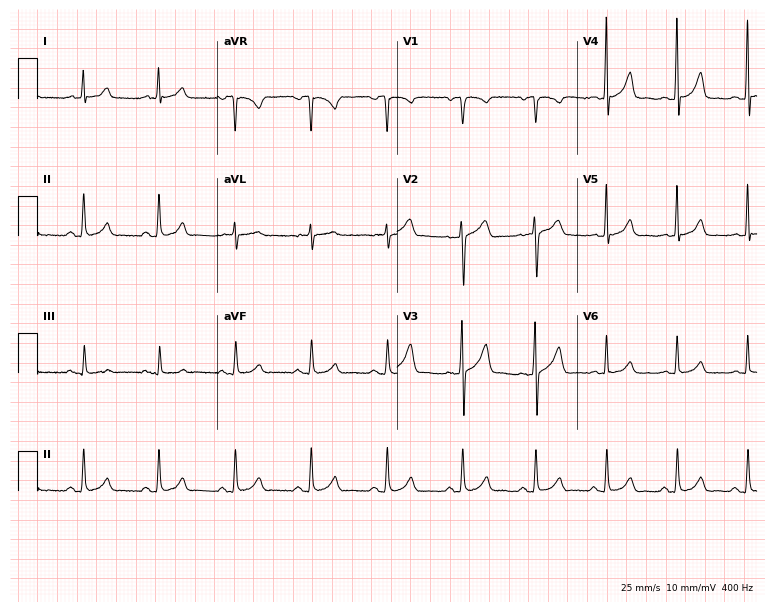
Standard 12-lead ECG recorded from a male patient, 59 years old. Read as a normal ECG.